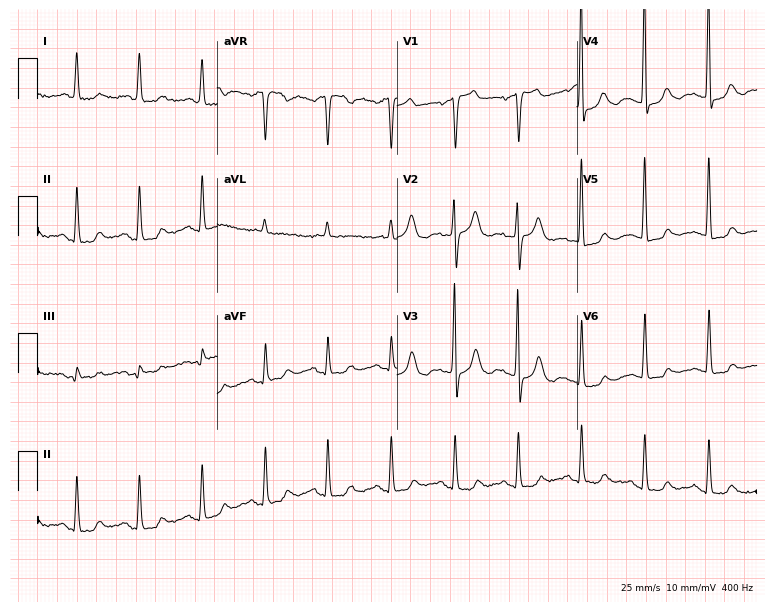
12-lead ECG from a 76-year-old female. Screened for six findings — first-degree AV block, right bundle branch block (RBBB), left bundle branch block (LBBB), sinus bradycardia, atrial fibrillation (AF), sinus tachycardia — none is recorded.